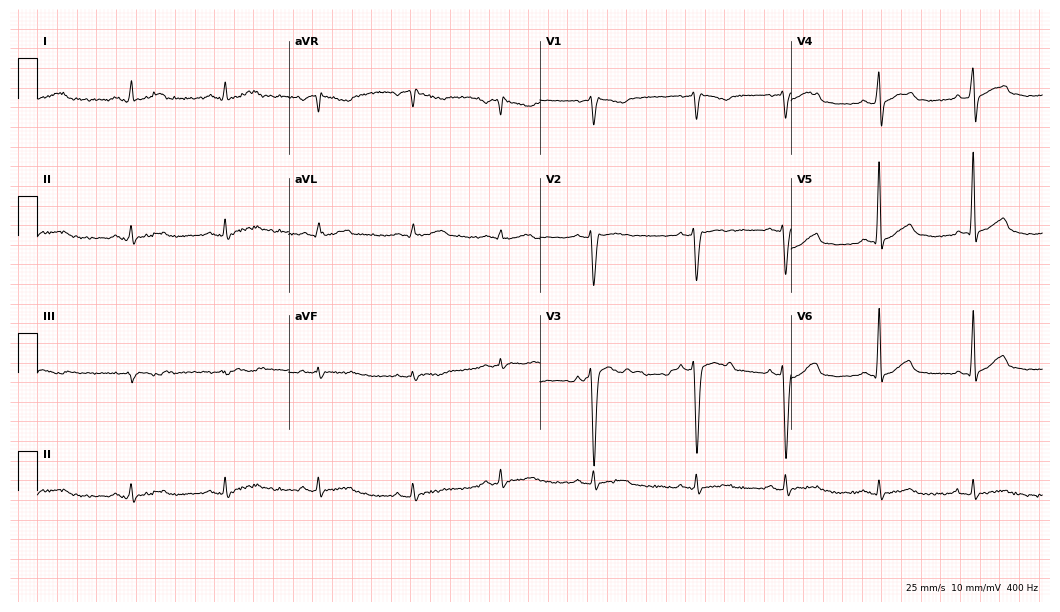
Electrocardiogram, a man, 41 years old. Of the six screened findings (first-degree AV block, right bundle branch block, left bundle branch block, sinus bradycardia, atrial fibrillation, sinus tachycardia), none is recorded.